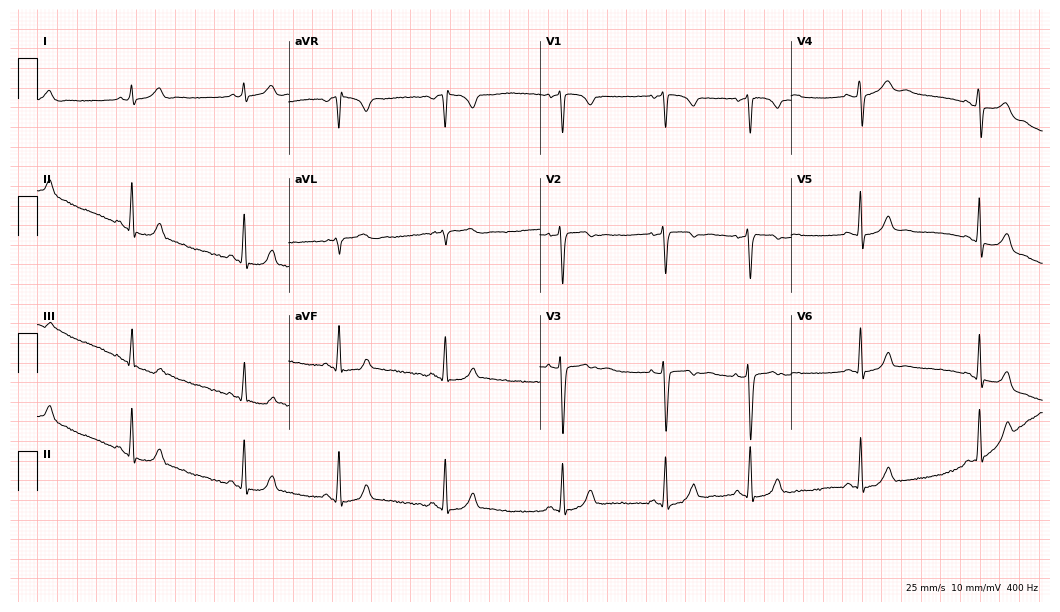
ECG (10.2-second recording at 400 Hz) — a 31-year-old woman. Screened for six findings — first-degree AV block, right bundle branch block, left bundle branch block, sinus bradycardia, atrial fibrillation, sinus tachycardia — none is recorded.